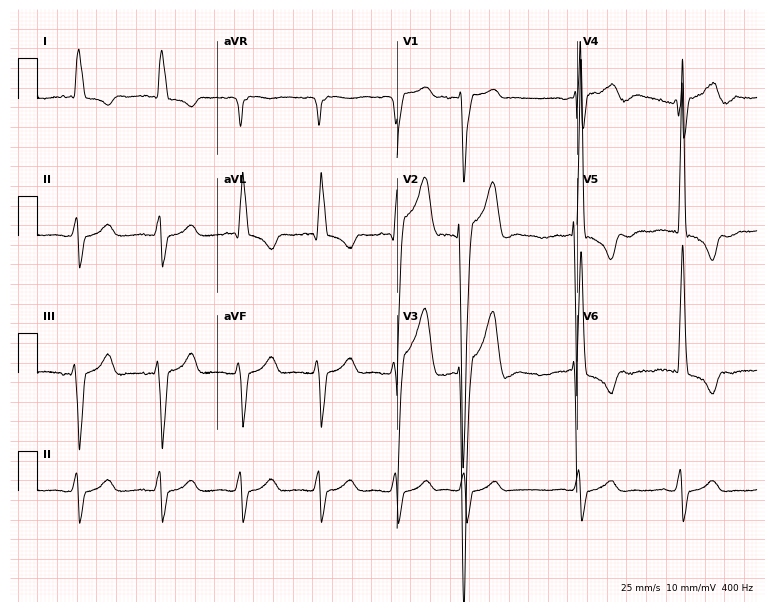
Electrocardiogram, an 85-year-old male. Of the six screened findings (first-degree AV block, right bundle branch block, left bundle branch block, sinus bradycardia, atrial fibrillation, sinus tachycardia), none is recorded. Findings outside these six are not listed.